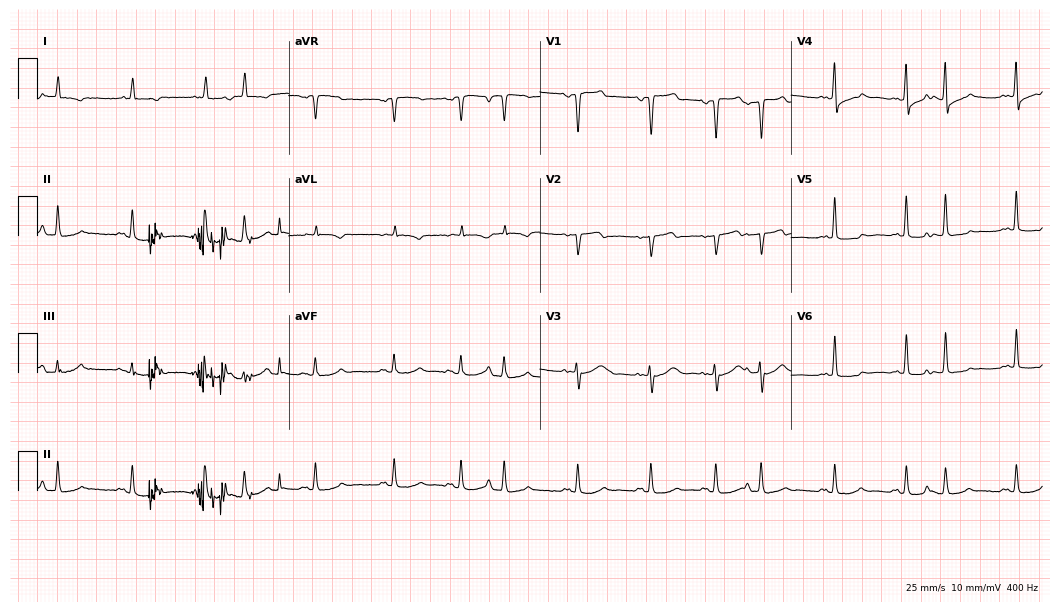
12-lead ECG (10.2-second recording at 400 Hz) from an 81-year-old male. Screened for six findings — first-degree AV block, right bundle branch block (RBBB), left bundle branch block (LBBB), sinus bradycardia, atrial fibrillation (AF), sinus tachycardia — none is recorded.